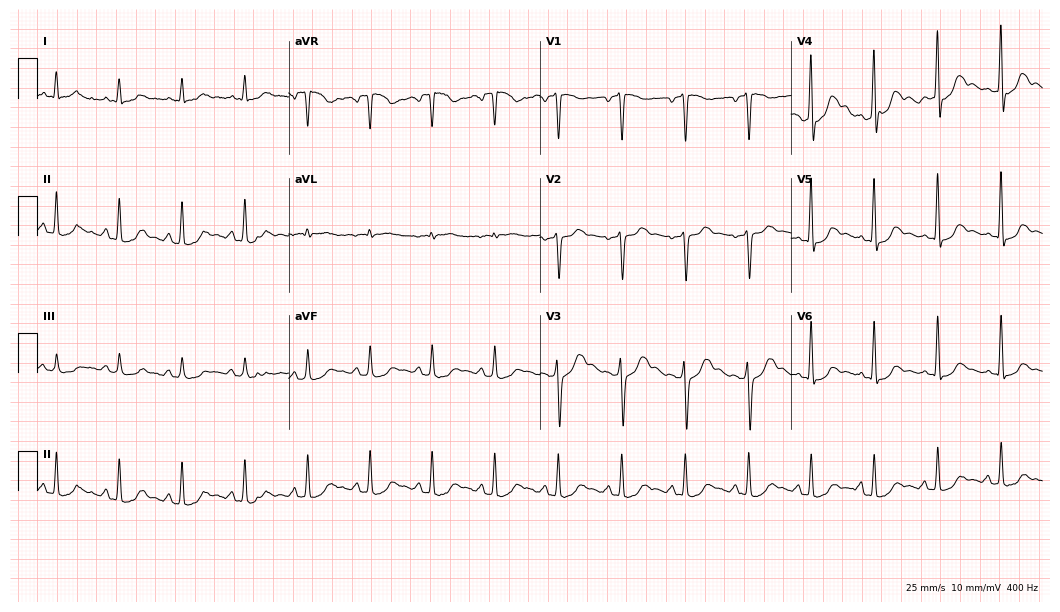
12-lead ECG (10.2-second recording at 400 Hz) from a male, 56 years old. Labelled as a normal ECG.